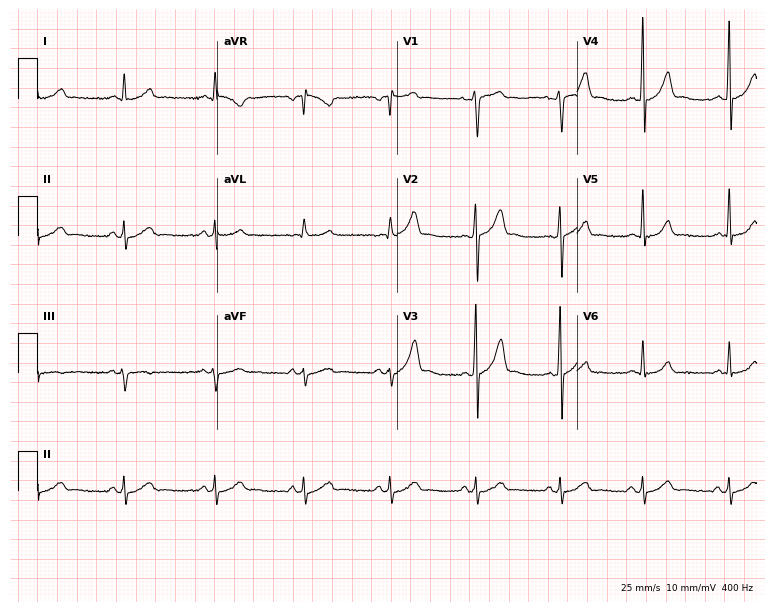
Standard 12-lead ECG recorded from a male, 48 years old (7.3-second recording at 400 Hz). None of these six findings is recorded: first-degree AV block, right bundle branch block (RBBB), left bundle branch block (LBBB), sinus bradycardia, atrial fibrillation (AF), sinus tachycardia.